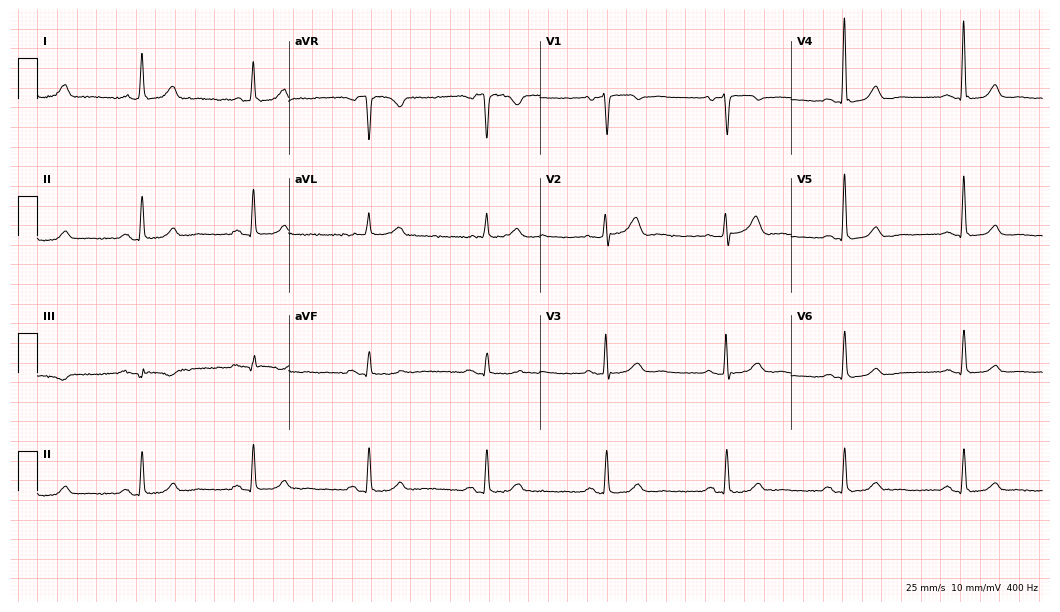
12-lead ECG from a female patient, 77 years old. Screened for six findings — first-degree AV block, right bundle branch block, left bundle branch block, sinus bradycardia, atrial fibrillation, sinus tachycardia — none is recorded.